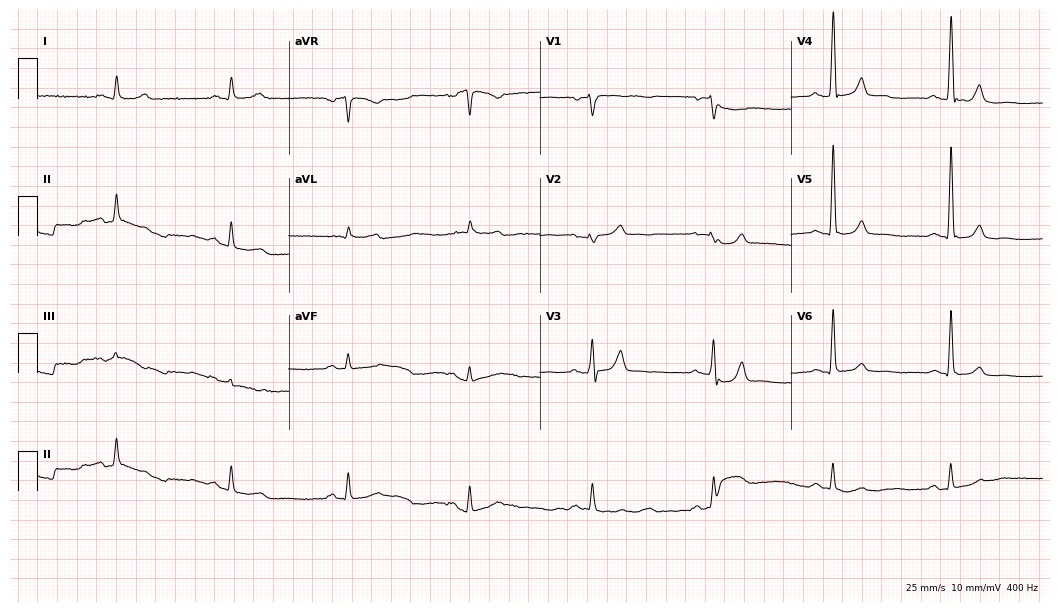
12-lead ECG from a male patient, 73 years old (10.2-second recording at 400 Hz). Recorded interpretation: within normal limits.